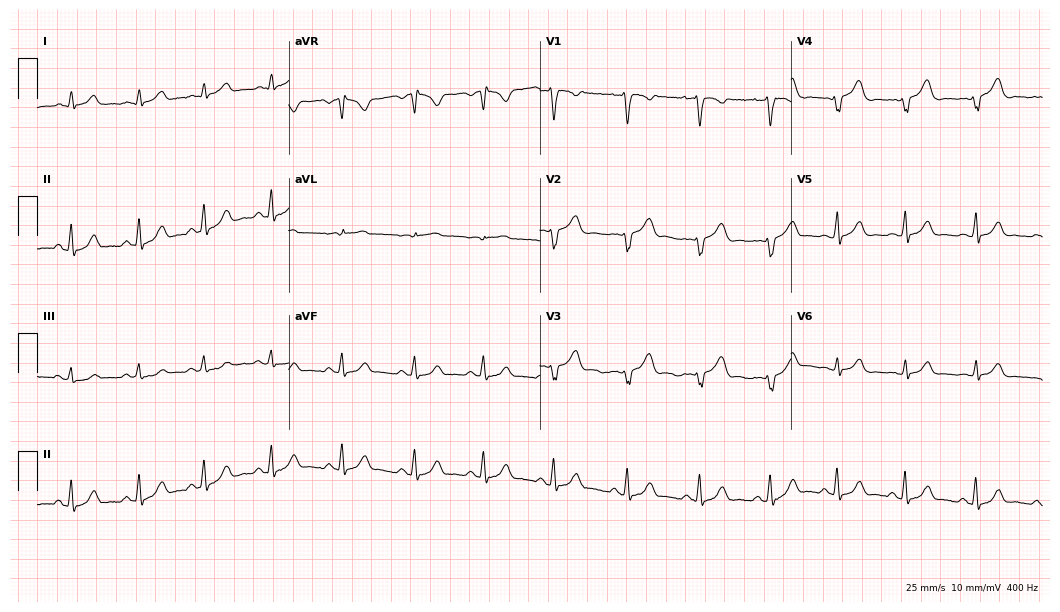
Standard 12-lead ECG recorded from a female, 19 years old. Read as a normal ECG.